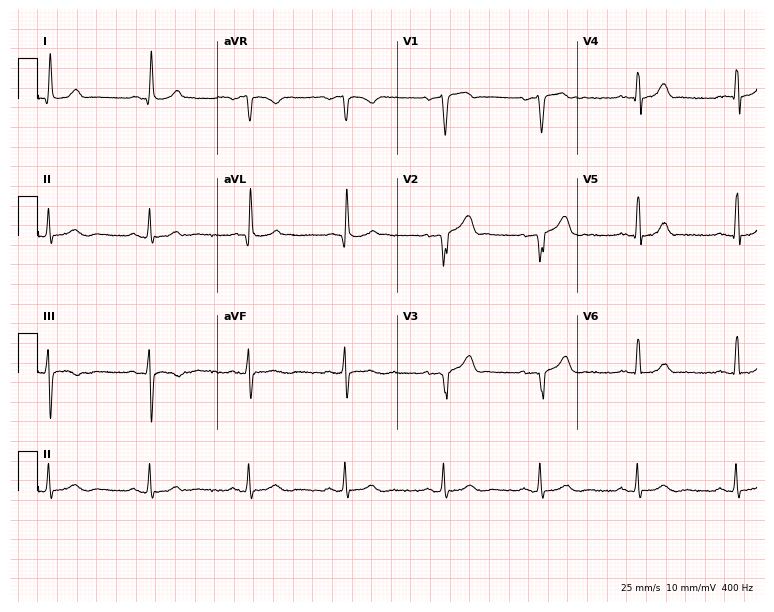
Resting 12-lead electrocardiogram. Patient: a male, 60 years old. None of these six findings is recorded: first-degree AV block, right bundle branch block, left bundle branch block, sinus bradycardia, atrial fibrillation, sinus tachycardia. Findings outside these six are not listed.